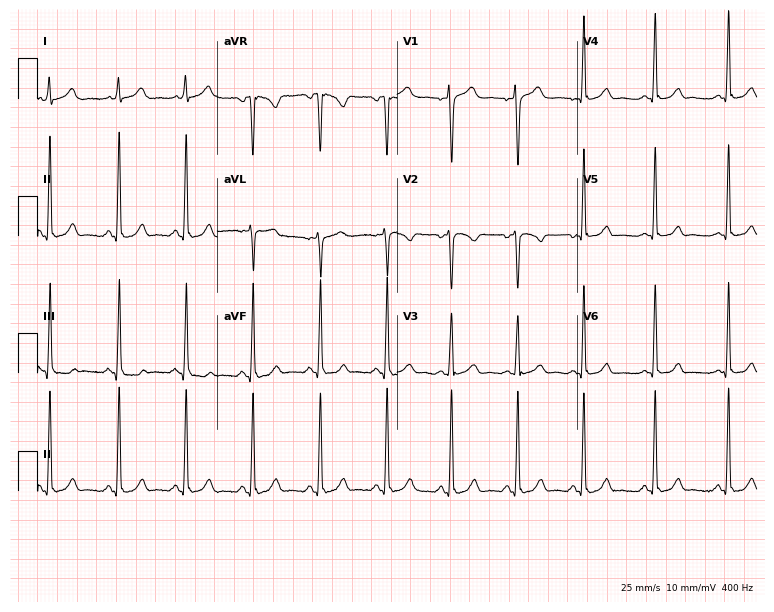
12-lead ECG (7.3-second recording at 400 Hz) from a 26-year-old female. Labelled as a normal ECG.